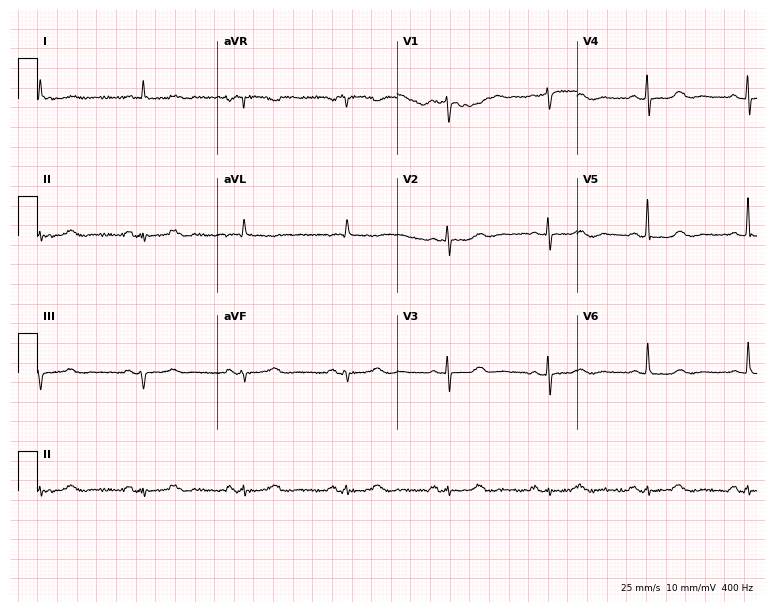
12-lead ECG from a female, 81 years old (7.3-second recording at 400 Hz). No first-degree AV block, right bundle branch block (RBBB), left bundle branch block (LBBB), sinus bradycardia, atrial fibrillation (AF) or sinus tachycardia recorded for this tracing. Other findings, if any, are not listed.